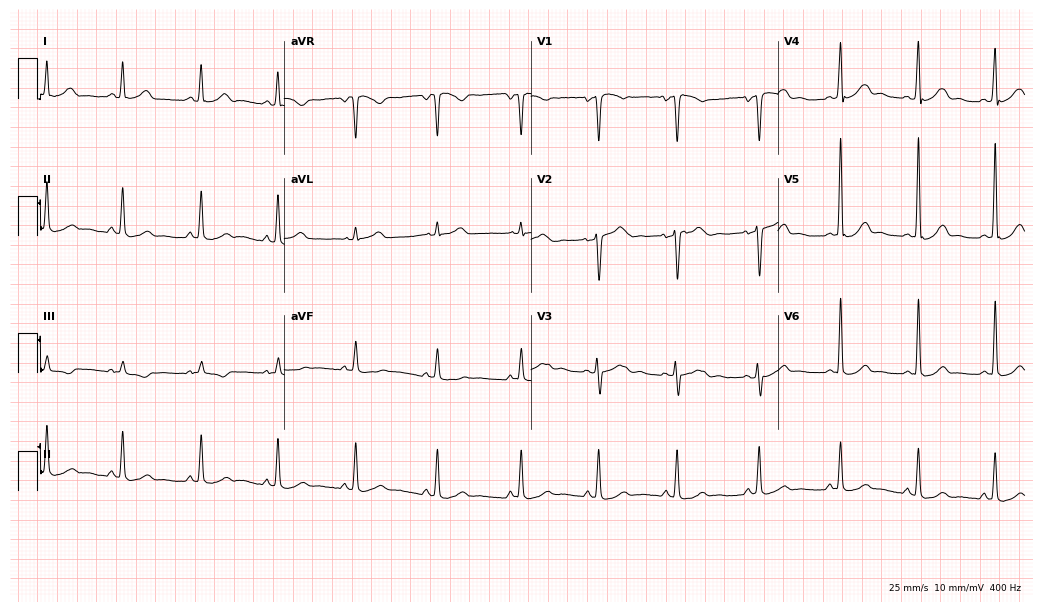
Standard 12-lead ECG recorded from a 36-year-old woman (10.1-second recording at 400 Hz). Read as a normal ECG.